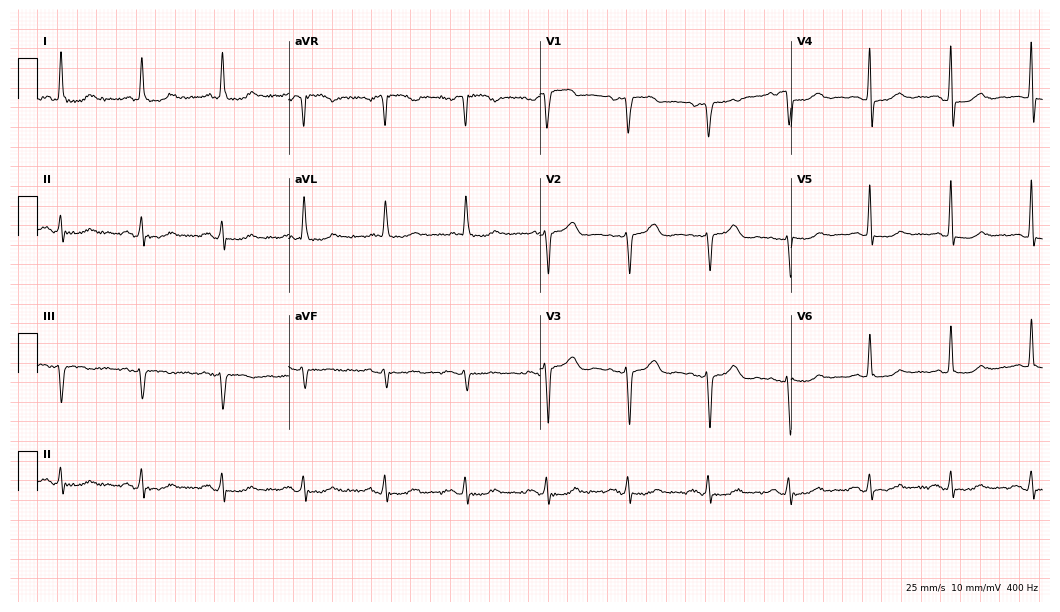
Resting 12-lead electrocardiogram (10.2-second recording at 400 Hz). Patient: a 78-year-old female. None of these six findings is recorded: first-degree AV block, right bundle branch block (RBBB), left bundle branch block (LBBB), sinus bradycardia, atrial fibrillation (AF), sinus tachycardia. Other findings, if any, are not listed.